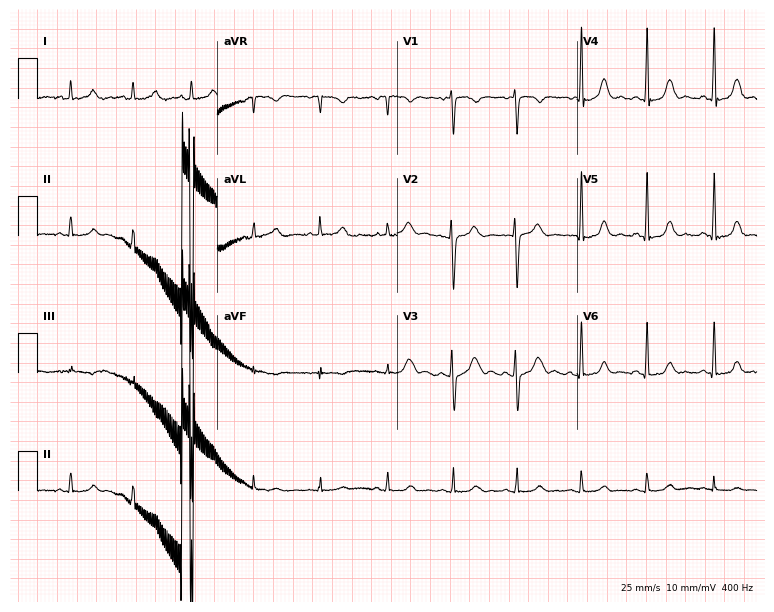
12-lead ECG from a female, 22 years old. Recorded interpretation: within normal limits.